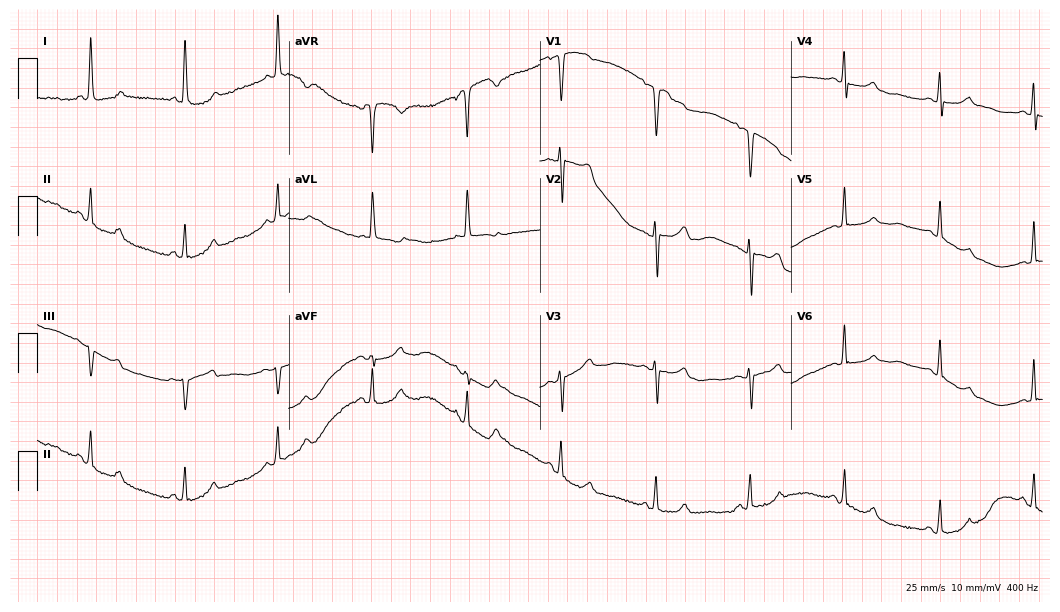
Resting 12-lead electrocardiogram (10.2-second recording at 400 Hz). Patient: a 72-year-old female. Read as a normal ECG.